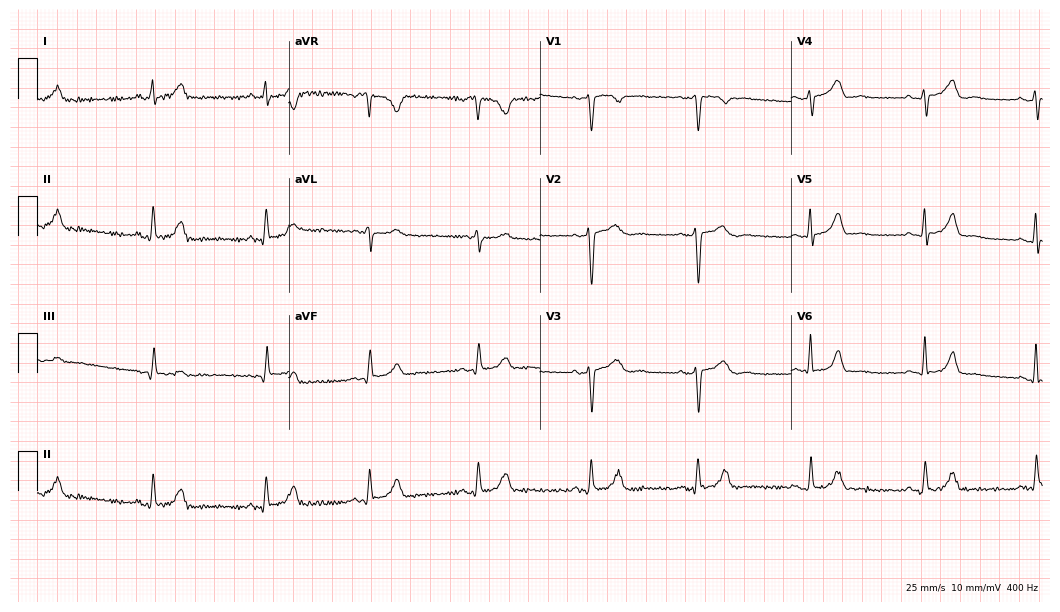
Electrocardiogram, a female patient, 35 years old. Of the six screened findings (first-degree AV block, right bundle branch block, left bundle branch block, sinus bradycardia, atrial fibrillation, sinus tachycardia), none is recorded. Other findings, if any, are not listed.